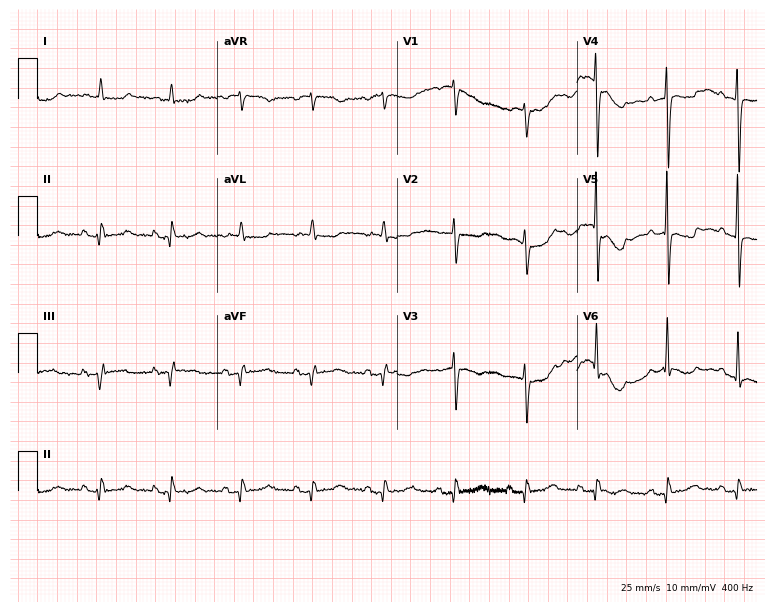
ECG (7.3-second recording at 400 Hz) — a 78-year-old female. Screened for six findings — first-degree AV block, right bundle branch block, left bundle branch block, sinus bradycardia, atrial fibrillation, sinus tachycardia — none is recorded. Other findings, if any, are not listed.